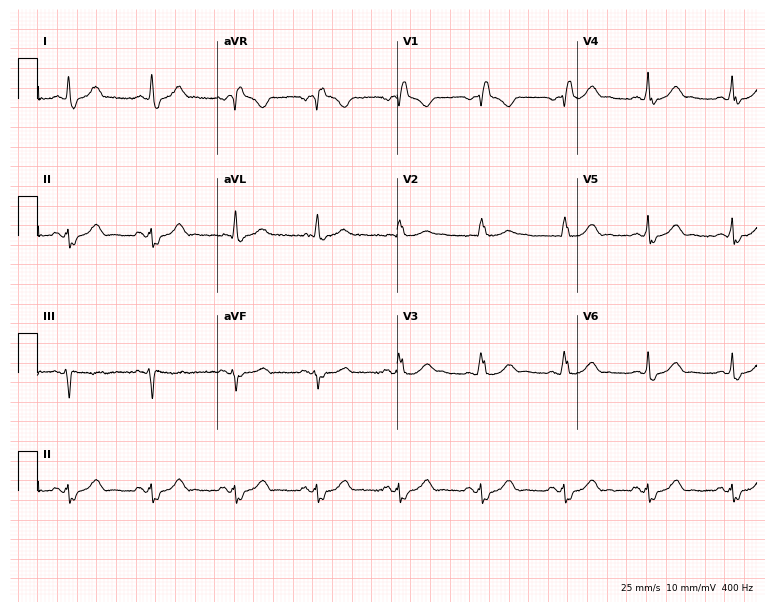
Resting 12-lead electrocardiogram. Patient: a 63-year-old male. The tracing shows right bundle branch block.